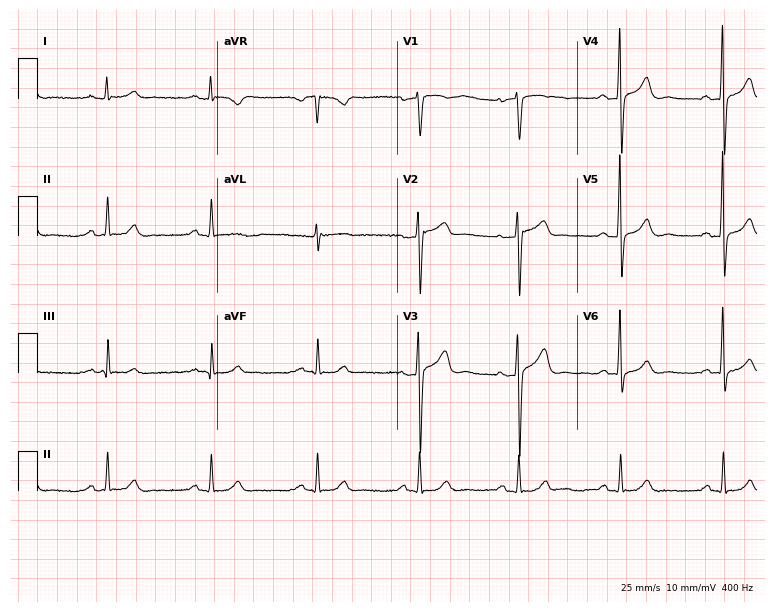
12-lead ECG from a female patient, 67 years old (7.3-second recording at 400 Hz). No first-degree AV block, right bundle branch block (RBBB), left bundle branch block (LBBB), sinus bradycardia, atrial fibrillation (AF) or sinus tachycardia recorded for this tracing. Findings outside these six are not listed.